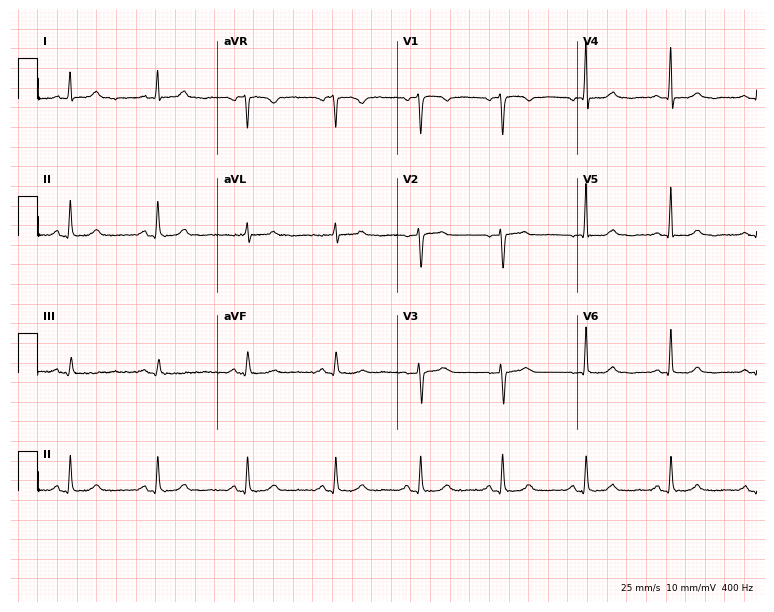
Standard 12-lead ECG recorded from a 65-year-old female (7.3-second recording at 400 Hz). None of these six findings is recorded: first-degree AV block, right bundle branch block (RBBB), left bundle branch block (LBBB), sinus bradycardia, atrial fibrillation (AF), sinus tachycardia. Findings outside these six are not listed.